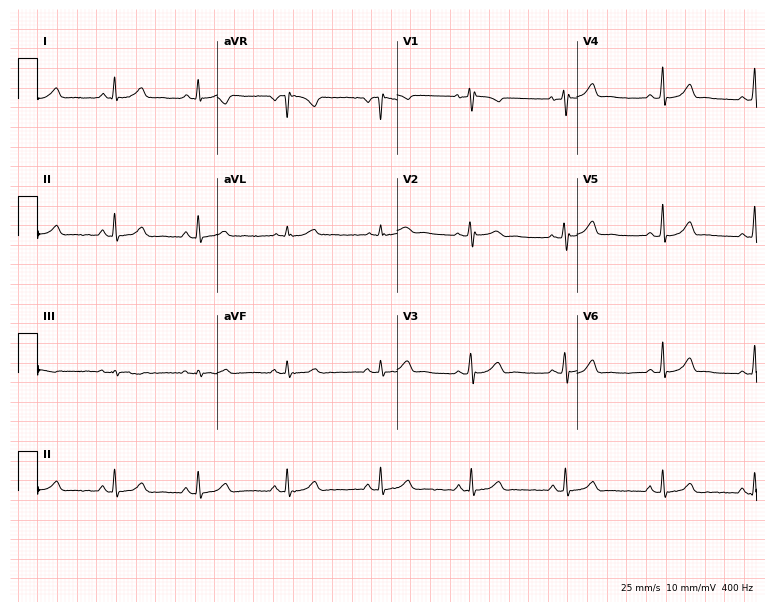
Standard 12-lead ECG recorded from a 31-year-old female (7.3-second recording at 400 Hz). None of these six findings is recorded: first-degree AV block, right bundle branch block (RBBB), left bundle branch block (LBBB), sinus bradycardia, atrial fibrillation (AF), sinus tachycardia.